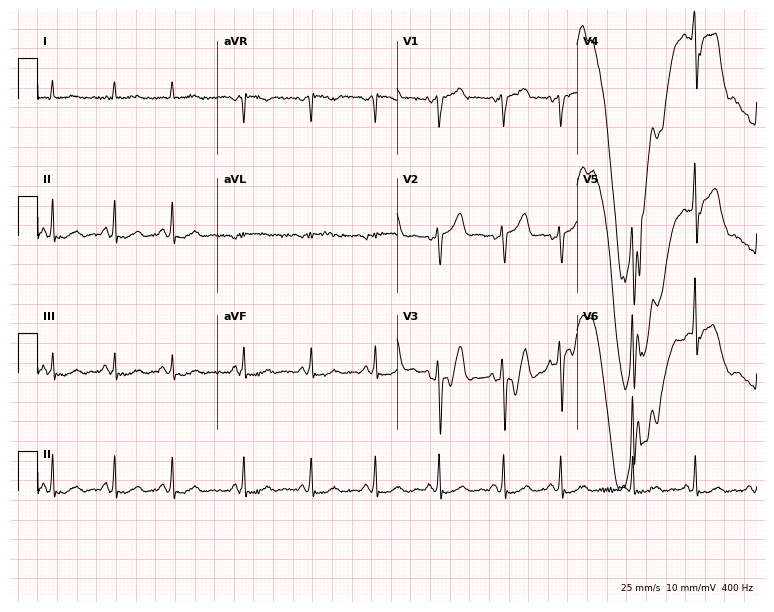
ECG (7.3-second recording at 400 Hz) — a male patient, 84 years old. Screened for six findings — first-degree AV block, right bundle branch block, left bundle branch block, sinus bradycardia, atrial fibrillation, sinus tachycardia — none is recorded.